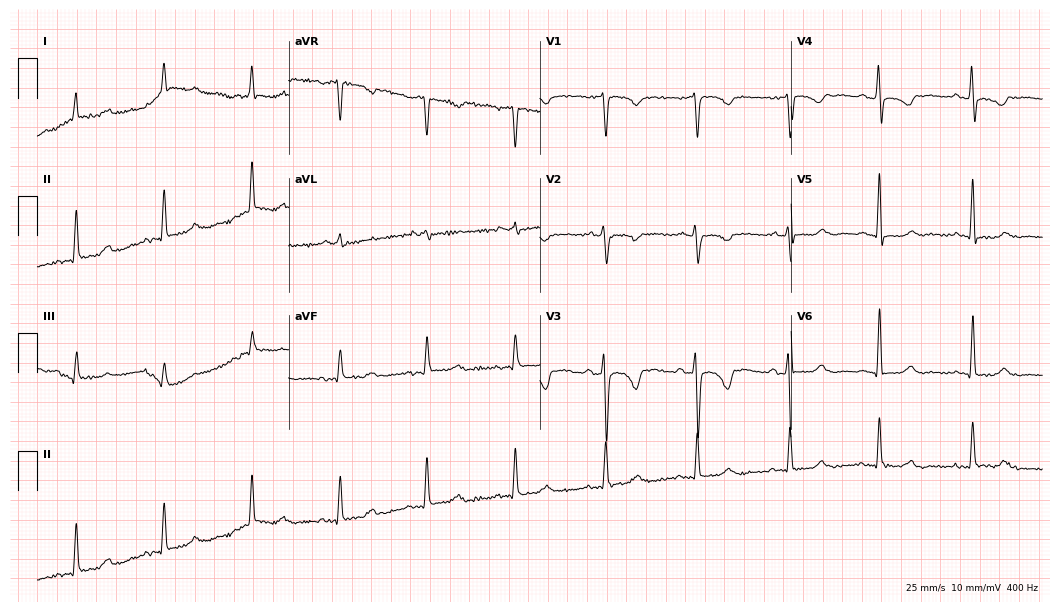
Standard 12-lead ECG recorded from a female patient, 61 years old (10.2-second recording at 400 Hz). None of these six findings is recorded: first-degree AV block, right bundle branch block, left bundle branch block, sinus bradycardia, atrial fibrillation, sinus tachycardia.